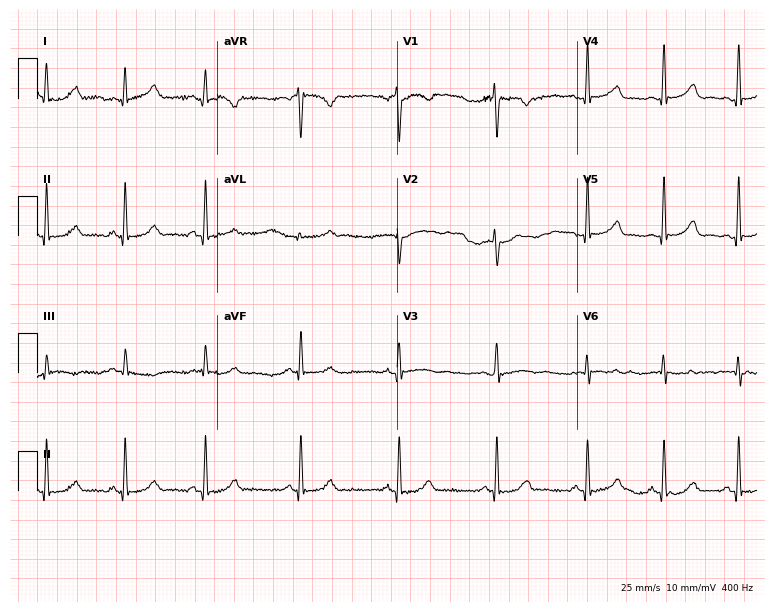
Electrocardiogram, a female patient, 31 years old. Overall reading on record: normal ECG.